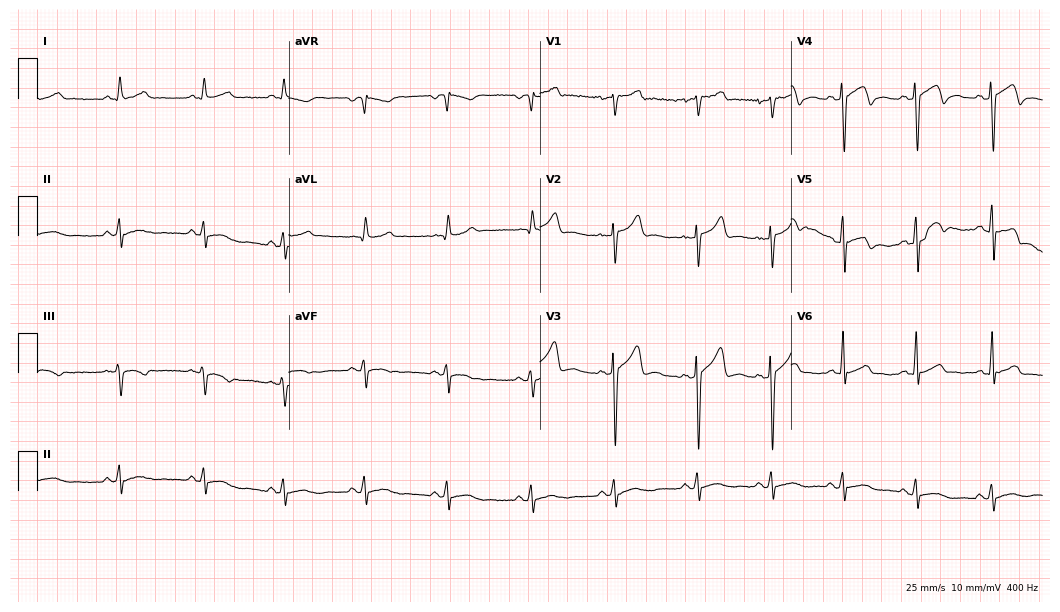
12-lead ECG from a 41-year-old male (10.2-second recording at 400 Hz). No first-degree AV block, right bundle branch block, left bundle branch block, sinus bradycardia, atrial fibrillation or sinus tachycardia recorded for this tracing.